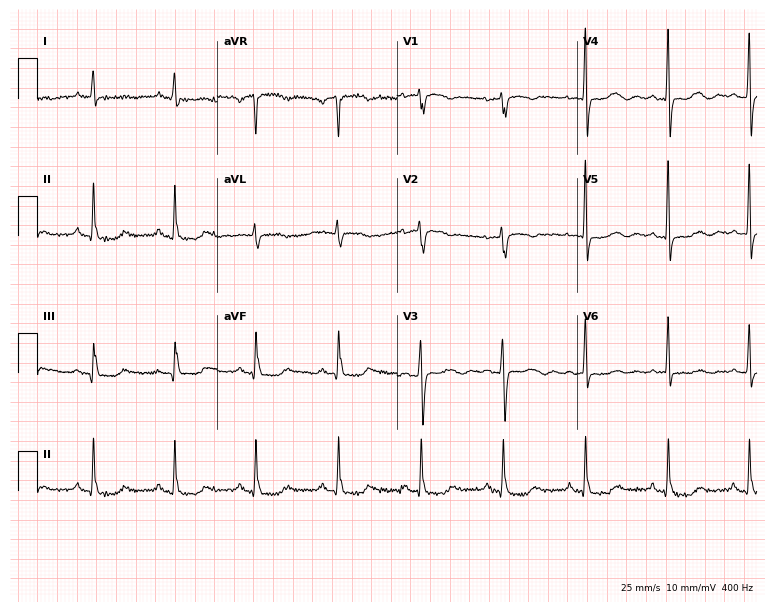
Standard 12-lead ECG recorded from a woman, 82 years old. None of these six findings is recorded: first-degree AV block, right bundle branch block (RBBB), left bundle branch block (LBBB), sinus bradycardia, atrial fibrillation (AF), sinus tachycardia.